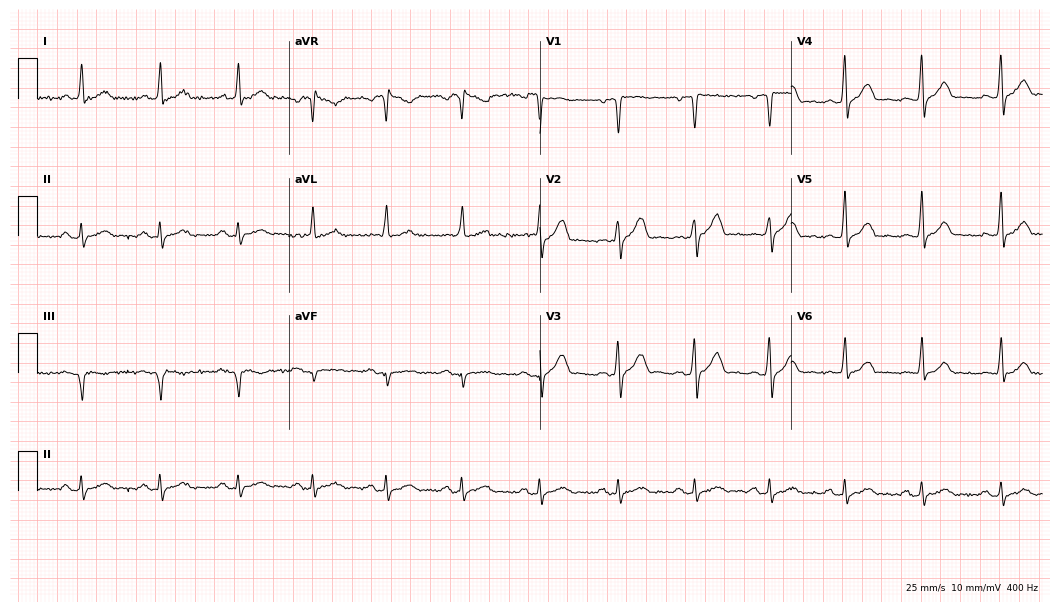
12-lead ECG (10.2-second recording at 400 Hz) from a 47-year-old man. Screened for six findings — first-degree AV block, right bundle branch block (RBBB), left bundle branch block (LBBB), sinus bradycardia, atrial fibrillation (AF), sinus tachycardia — none is recorded.